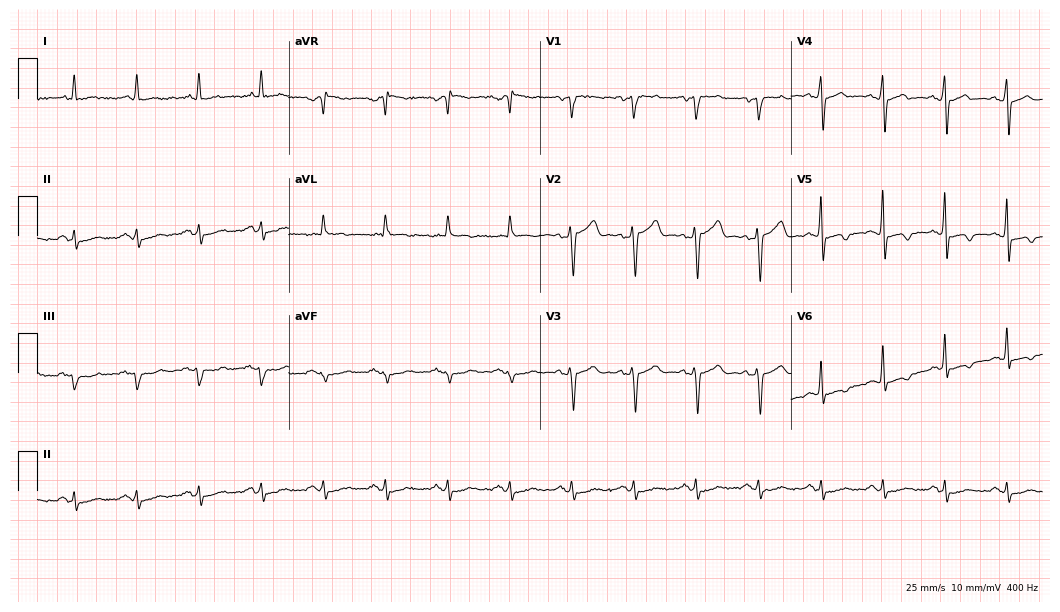
12-lead ECG from a 67-year-old male. No first-degree AV block, right bundle branch block (RBBB), left bundle branch block (LBBB), sinus bradycardia, atrial fibrillation (AF) or sinus tachycardia recorded for this tracing. Other findings, if any, are not listed.